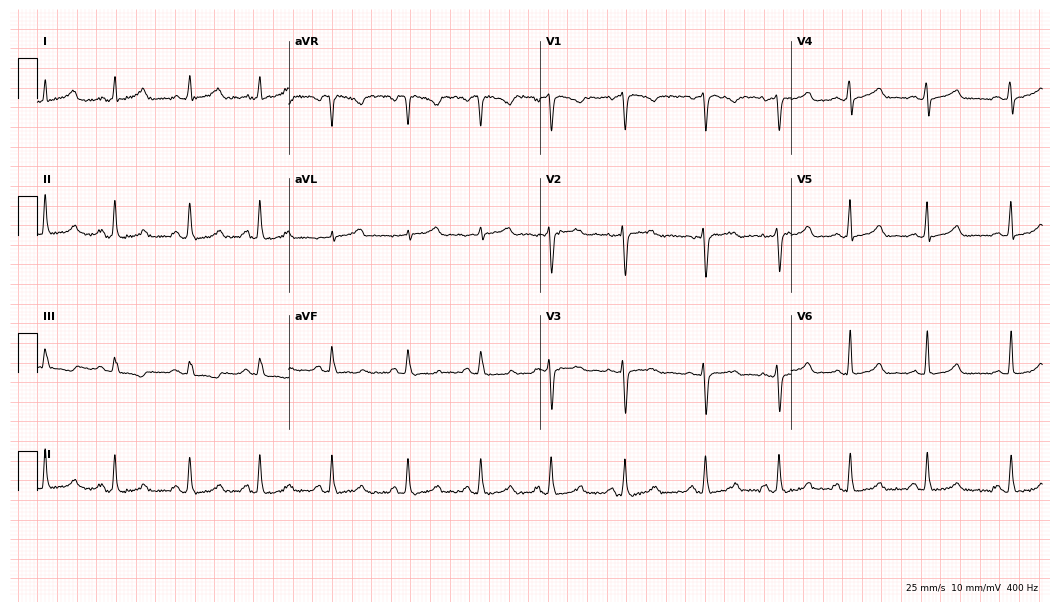
12-lead ECG (10.2-second recording at 400 Hz) from a 43-year-old female. Screened for six findings — first-degree AV block, right bundle branch block, left bundle branch block, sinus bradycardia, atrial fibrillation, sinus tachycardia — none is recorded.